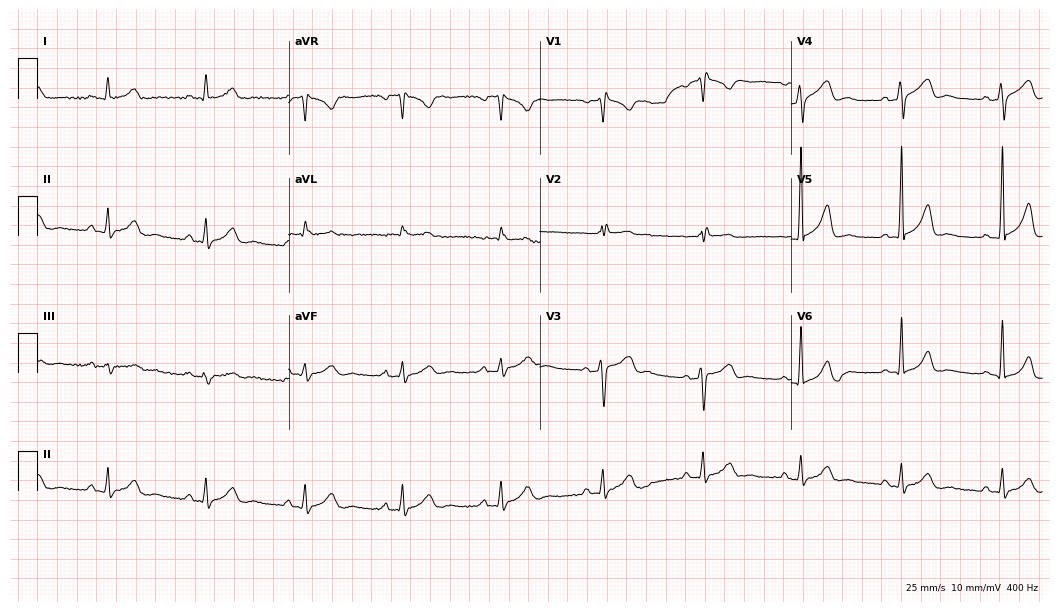
Electrocardiogram, a male patient, 49 years old. Of the six screened findings (first-degree AV block, right bundle branch block (RBBB), left bundle branch block (LBBB), sinus bradycardia, atrial fibrillation (AF), sinus tachycardia), none is recorded. Findings outside these six are not listed.